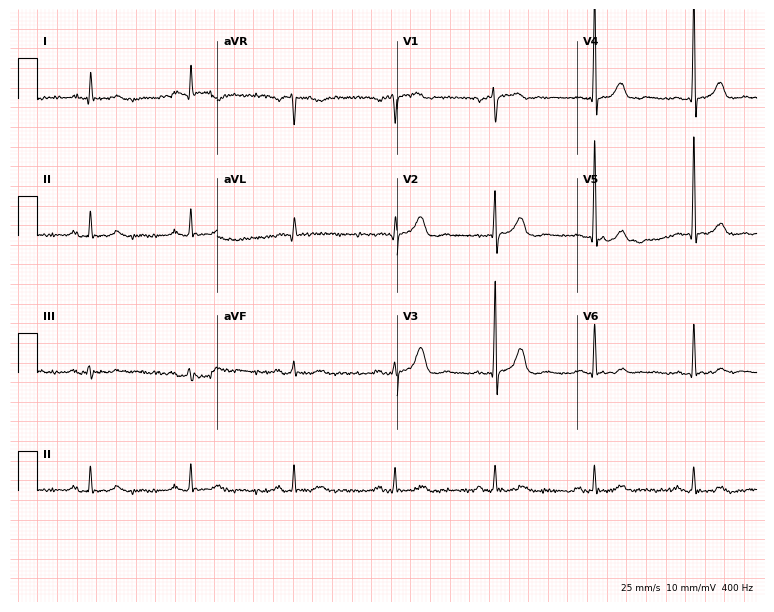
Standard 12-lead ECG recorded from a male, 83 years old (7.3-second recording at 400 Hz). Read as a normal ECG.